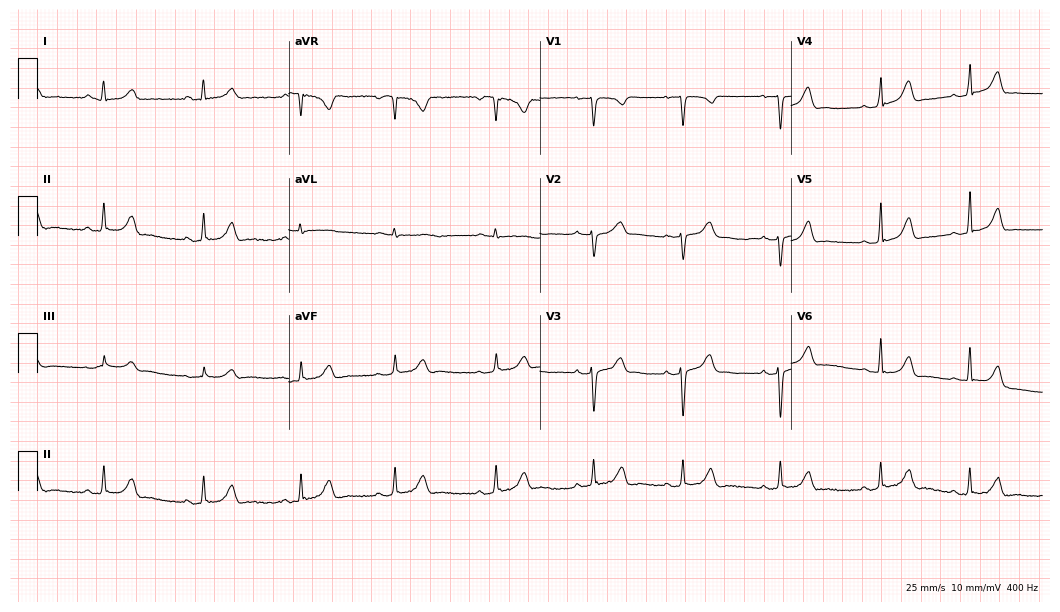
ECG (10.2-second recording at 400 Hz) — a 22-year-old woman. Labelled as a normal ECG.